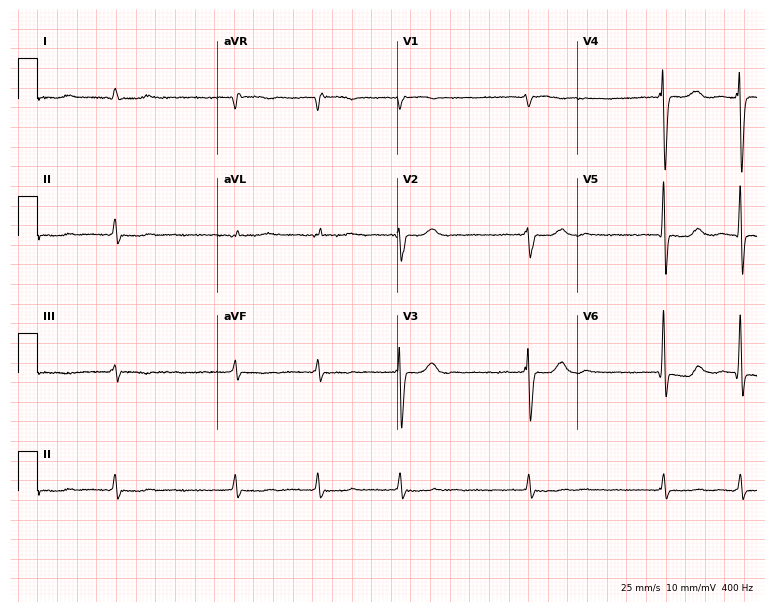
12-lead ECG (7.3-second recording at 400 Hz) from an 81-year-old man. Screened for six findings — first-degree AV block, right bundle branch block, left bundle branch block, sinus bradycardia, atrial fibrillation, sinus tachycardia — none is recorded.